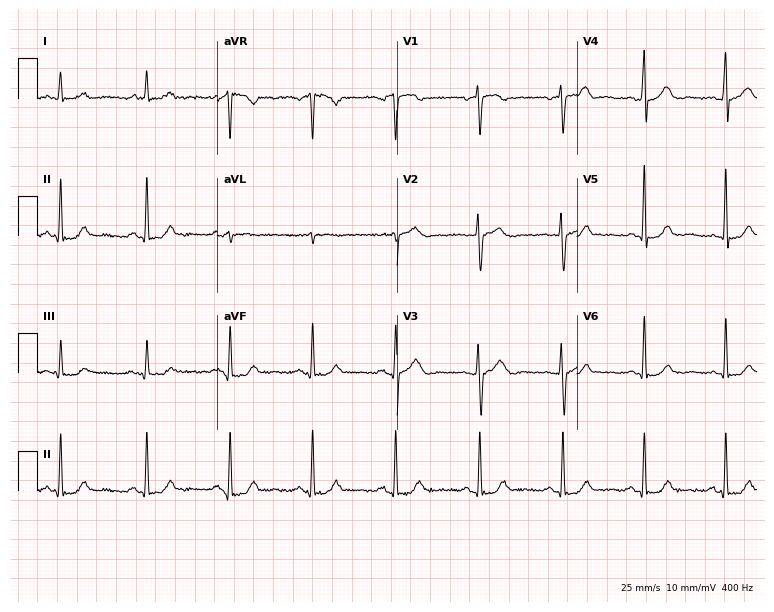
Electrocardiogram, a 51-year-old man. Overall reading on record: normal ECG.